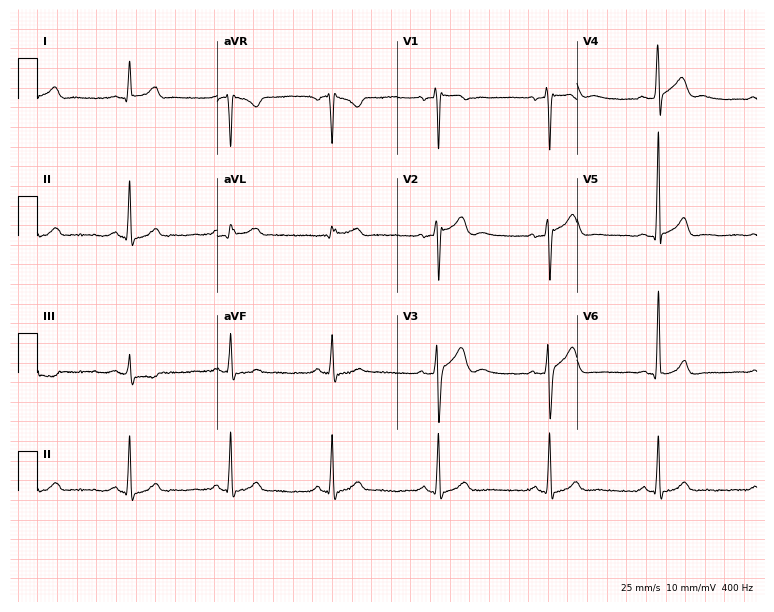
Electrocardiogram, a male, 36 years old. Of the six screened findings (first-degree AV block, right bundle branch block, left bundle branch block, sinus bradycardia, atrial fibrillation, sinus tachycardia), none is recorded.